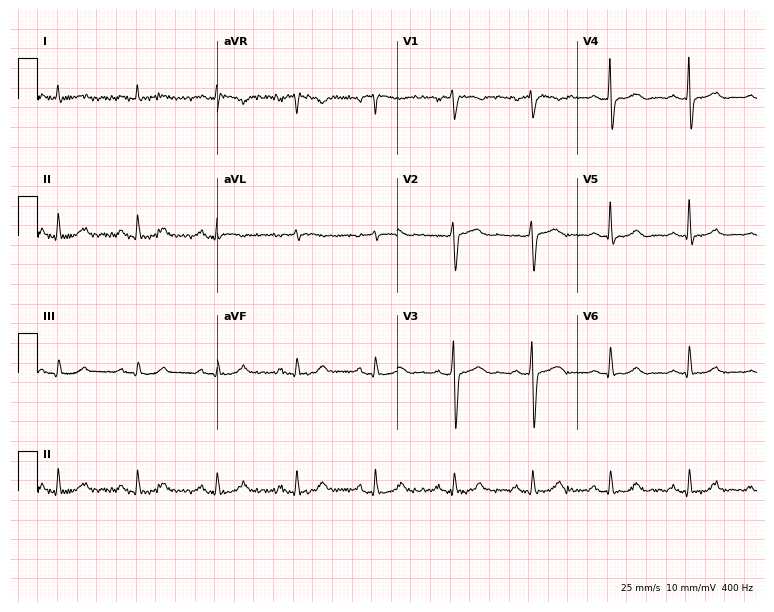
12-lead ECG from a 76-year-old male. Recorded interpretation: within normal limits.